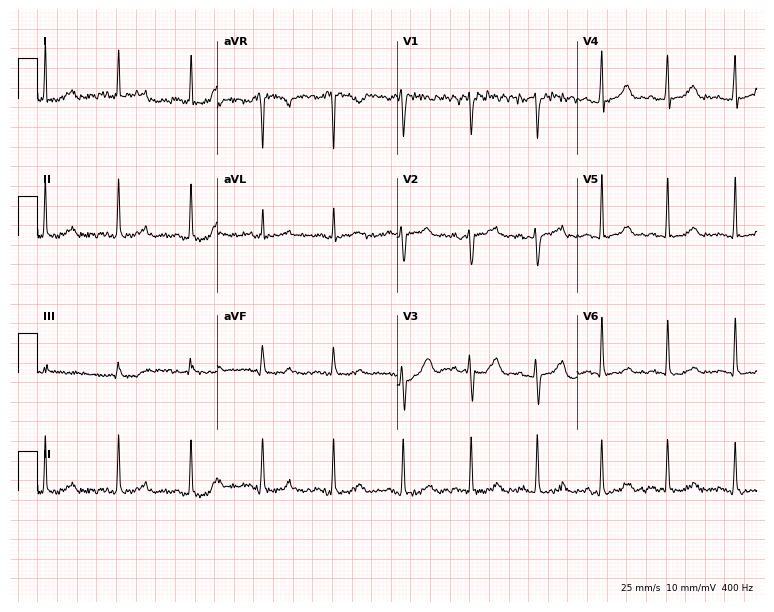
ECG (7.3-second recording at 400 Hz) — a female patient, 31 years old. Labelled as a normal ECG.